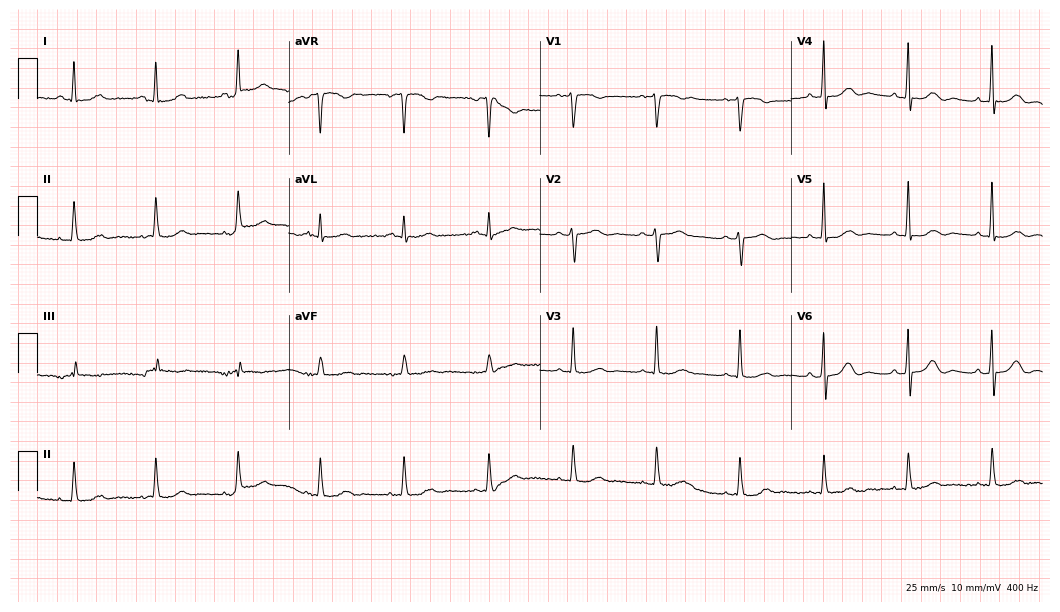
Resting 12-lead electrocardiogram (10.2-second recording at 400 Hz). Patient: a 68-year-old female. None of these six findings is recorded: first-degree AV block, right bundle branch block, left bundle branch block, sinus bradycardia, atrial fibrillation, sinus tachycardia. Findings outside these six are not listed.